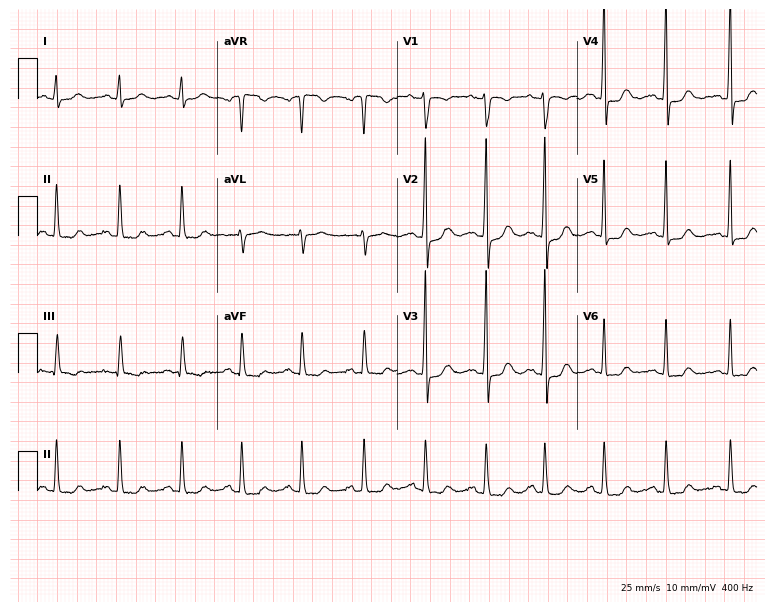
ECG (7.3-second recording at 400 Hz) — a female, 44 years old. Screened for six findings — first-degree AV block, right bundle branch block, left bundle branch block, sinus bradycardia, atrial fibrillation, sinus tachycardia — none is recorded. Findings outside these six are not listed.